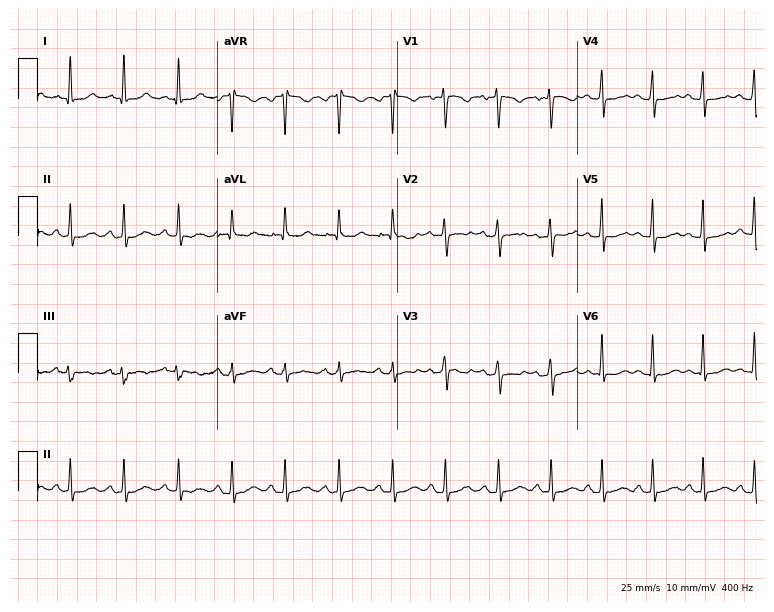
Standard 12-lead ECG recorded from a 22-year-old female patient. None of these six findings is recorded: first-degree AV block, right bundle branch block (RBBB), left bundle branch block (LBBB), sinus bradycardia, atrial fibrillation (AF), sinus tachycardia.